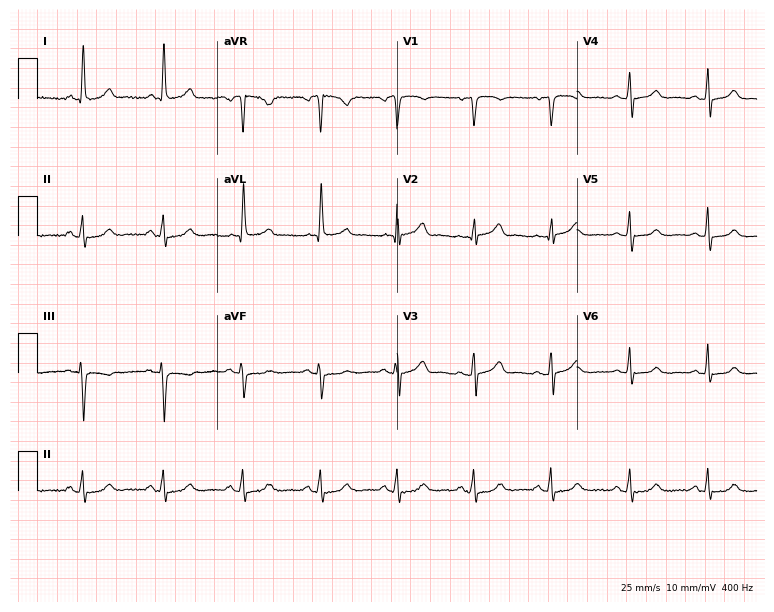
12-lead ECG from a 59-year-old female patient. No first-degree AV block, right bundle branch block, left bundle branch block, sinus bradycardia, atrial fibrillation or sinus tachycardia recorded for this tracing. Findings outside these six are not listed.